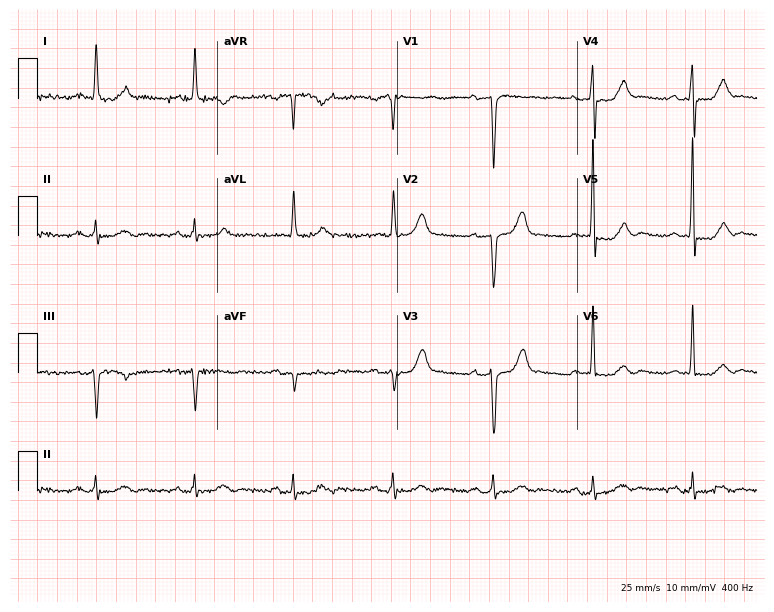
Standard 12-lead ECG recorded from a man, 62 years old (7.3-second recording at 400 Hz). Read as a normal ECG.